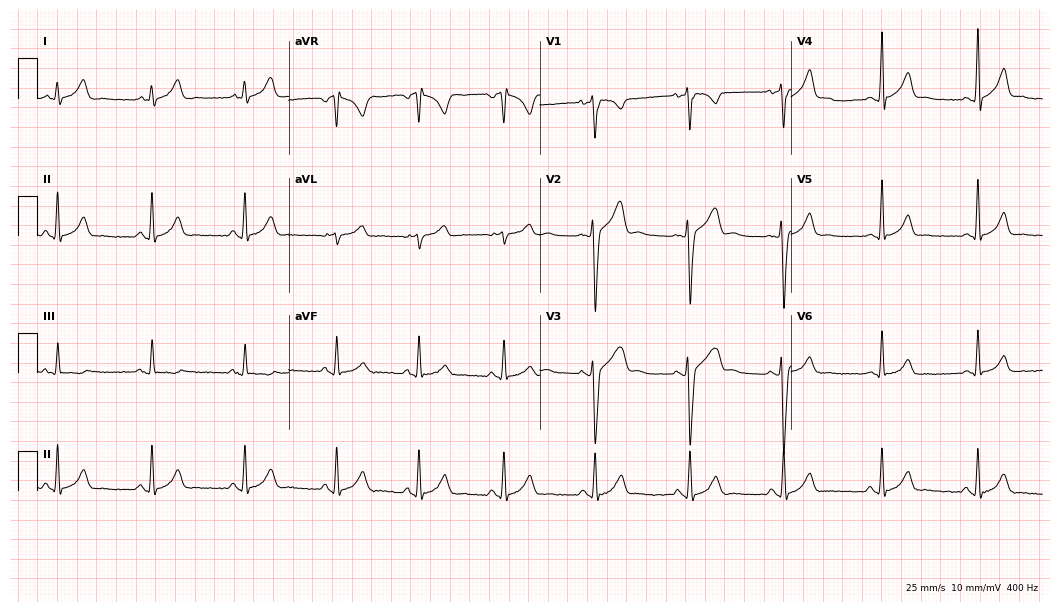
12-lead ECG from a 19-year-old man (10.2-second recording at 400 Hz). Recorded interpretation: within normal limits.